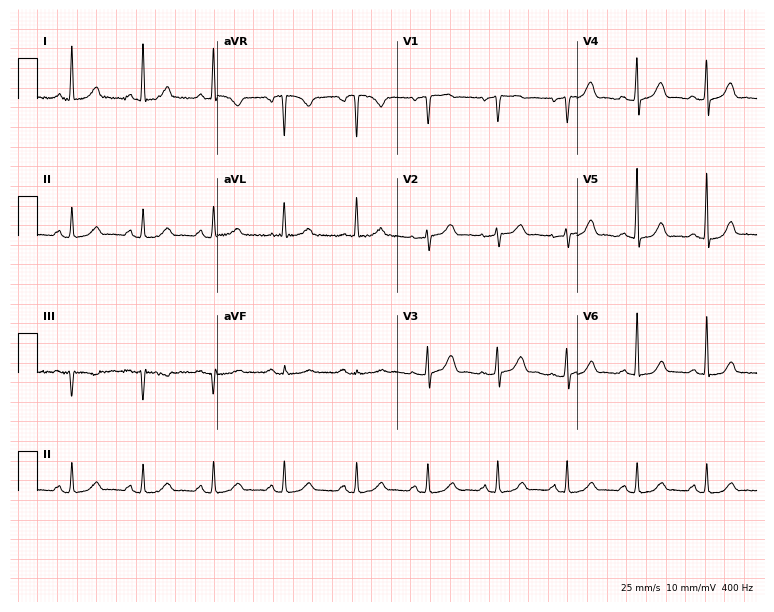
Electrocardiogram (7.3-second recording at 400 Hz), a 63-year-old female. Overall reading on record: normal ECG.